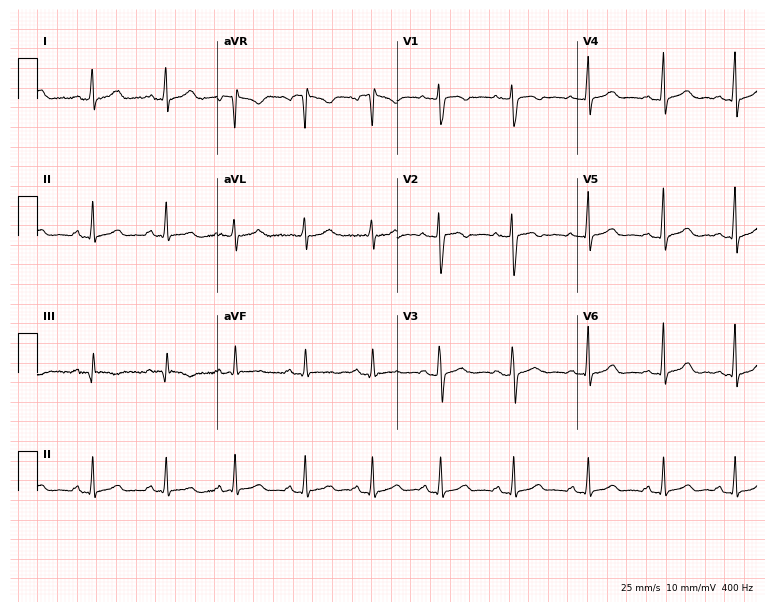
12-lead ECG from a female patient, 32 years old. Labelled as a normal ECG.